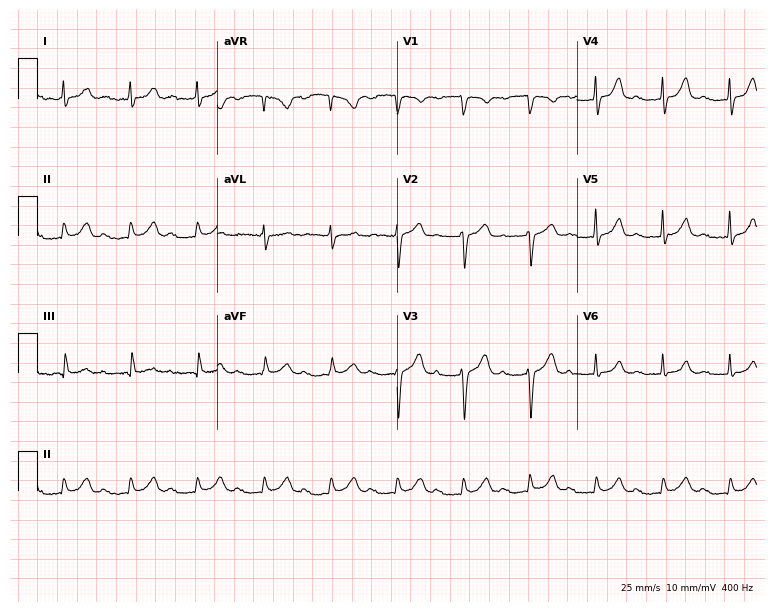
12-lead ECG from a 77-year-old male patient (7.3-second recording at 400 Hz). Shows first-degree AV block.